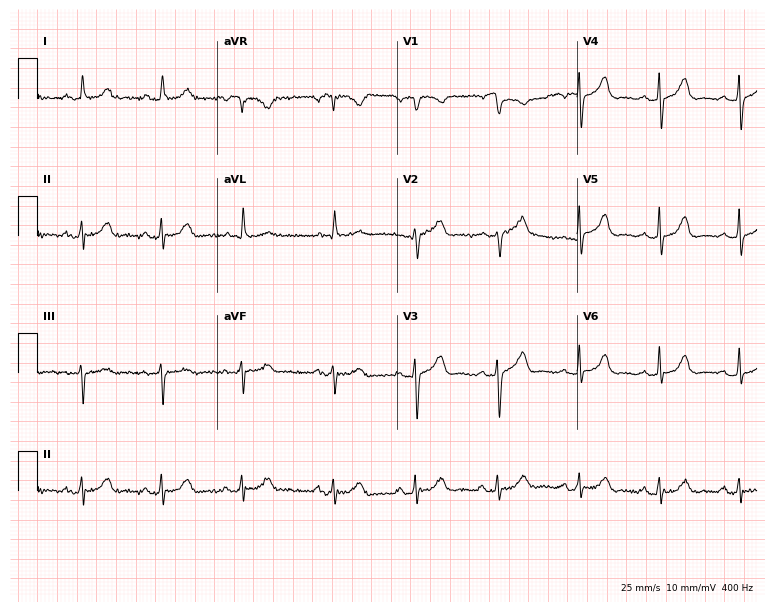
Standard 12-lead ECG recorded from a female patient, 69 years old (7.3-second recording at 400 Hz). Read as a normal ECG.